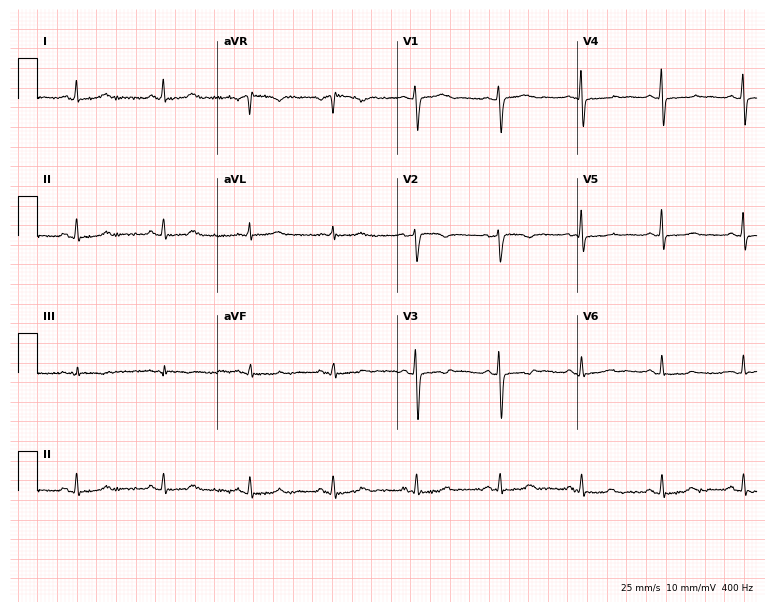
Resting 12-lead electrocardiogram (7.3-second recording at 400 Hz). Patient: a female, 33 years old. None of these six findings is recorded: first-degree AV block, right bundle branch block, left bundle branch block, sinus bradycardia, atrial fibrillation, sinus tachycardia.